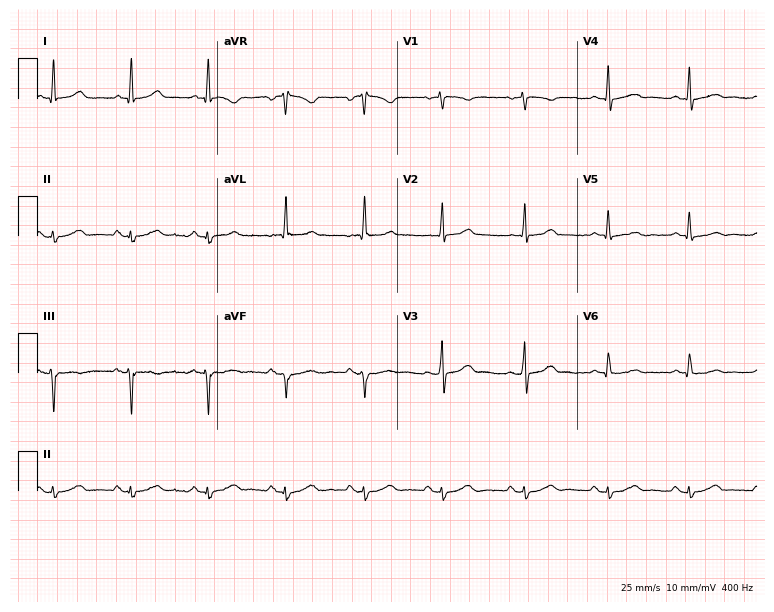
Resting 12-lead electrocardiogram (7.3-second recording at 400 Hz). Patient: a 59-year-old male. None of these six findings is recorded: first-degree AV block, right bundle branch block, left bundle branch block, sinus bradycardia, atrial fibrillation, sinus tachycardia.